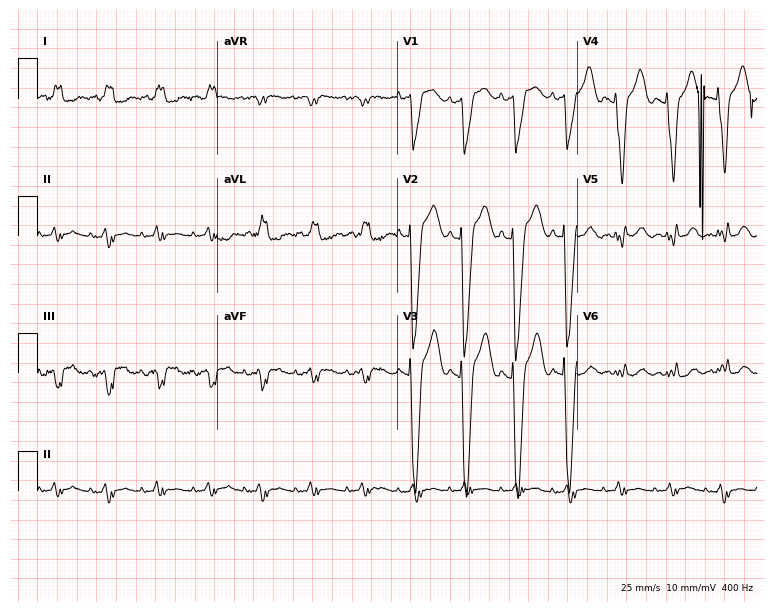
Electrocardiogram (7.3-second recording at 400 Hz), a female patient, 81 years old. Interpretation includes left bundle branch block, sinus tachycardia (a sinus rate of 100 beats per minute or more).